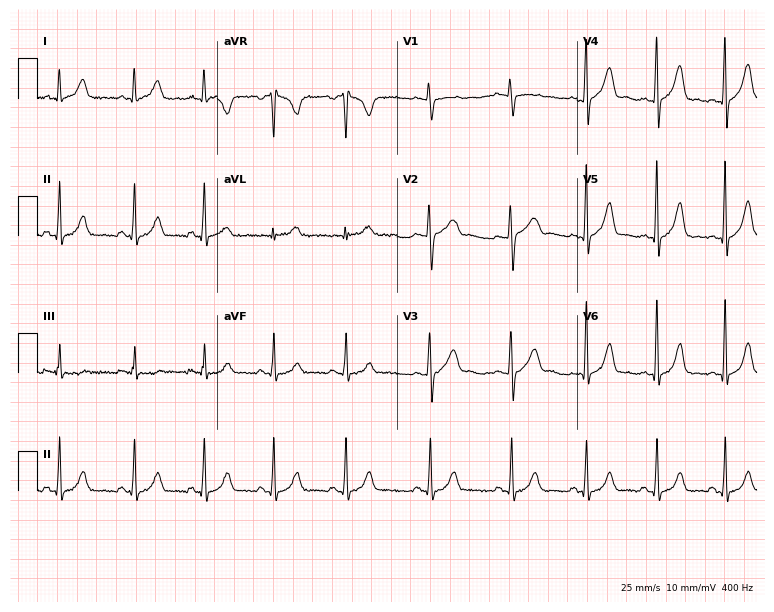
Resting 12-lead electrocardiogram (7.3-second recording at 400 Hz). Patient: a female, 39 years old. Read as a normal ECG.